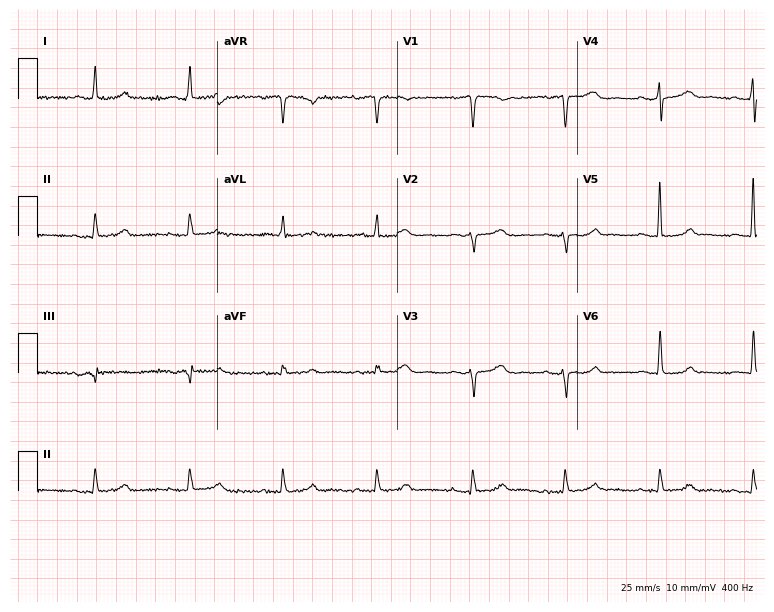
12-lead ECG (7.3-second recording at 400 Hz) from a 69-year-old woman. Screened for six findings — first-degree AV block, right bundle branch block, left bundle branch block, sinus bradycardia, atrial fibrillation, sinus tachycardia — none is recorded. Other findings, if any, are not listed.